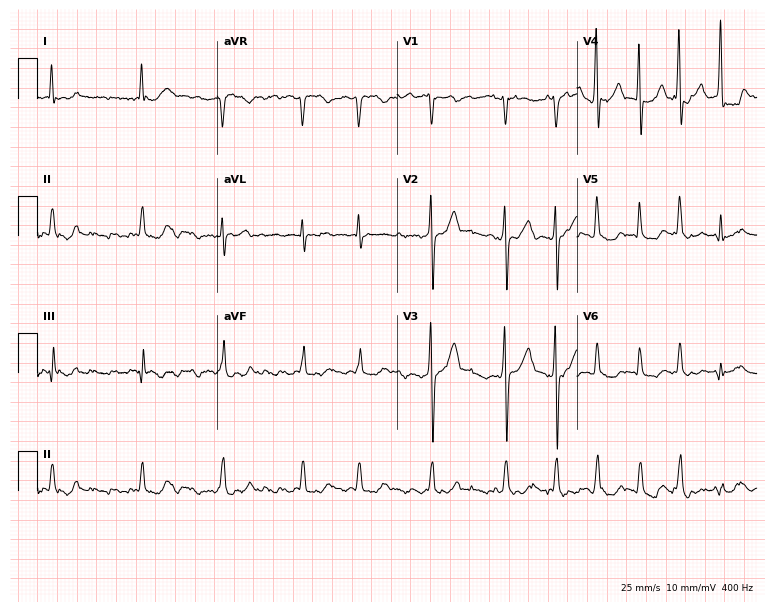
Resting 12-lead electrocardiogram. Patient: a male, 64 years old. The tracing shows atrial fibrillation.